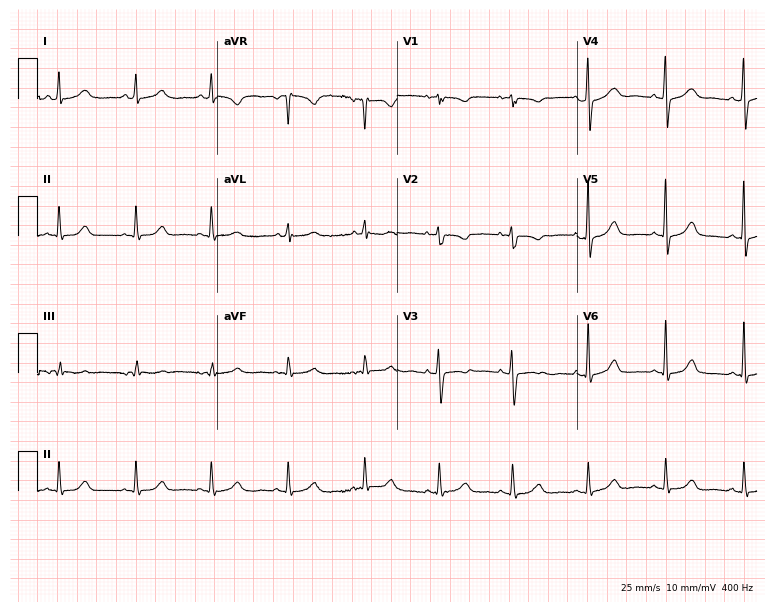
12-lead ECG from a 40-year-old female patient (7.3-second recording at 400 Hz). Recorded interpretation: within normal limits.